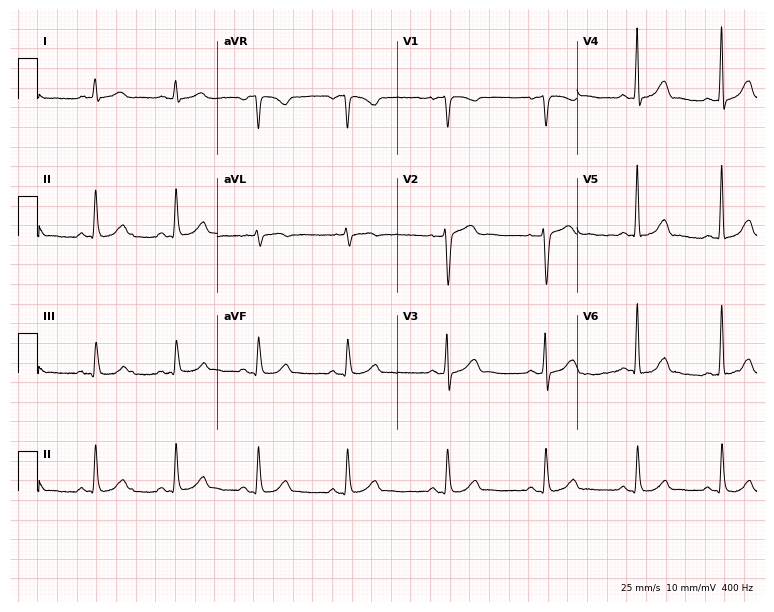
12-lead ECG from a female, 39 years old (7.3-second recording at 400 Hz). Recorded interpretation: within normal limits.